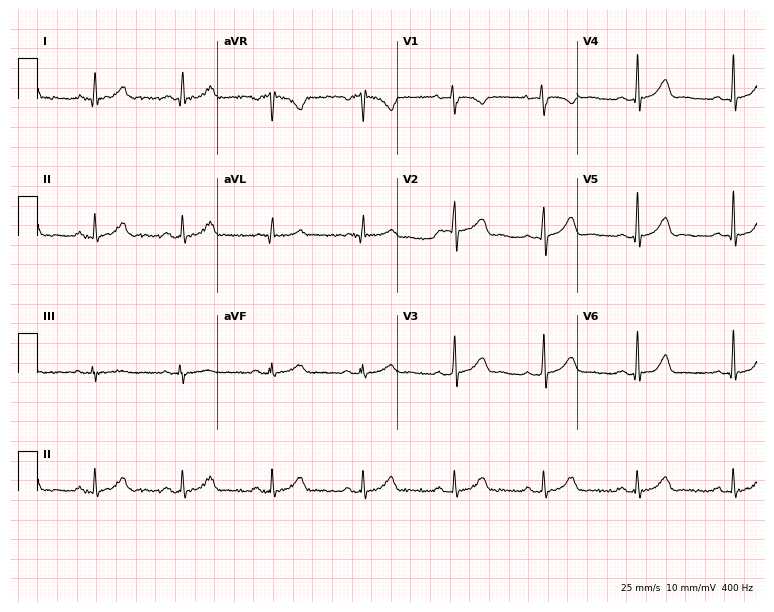
Electrocardiogram, a 29-year-old woman. Overall reading on record: normal ECG.